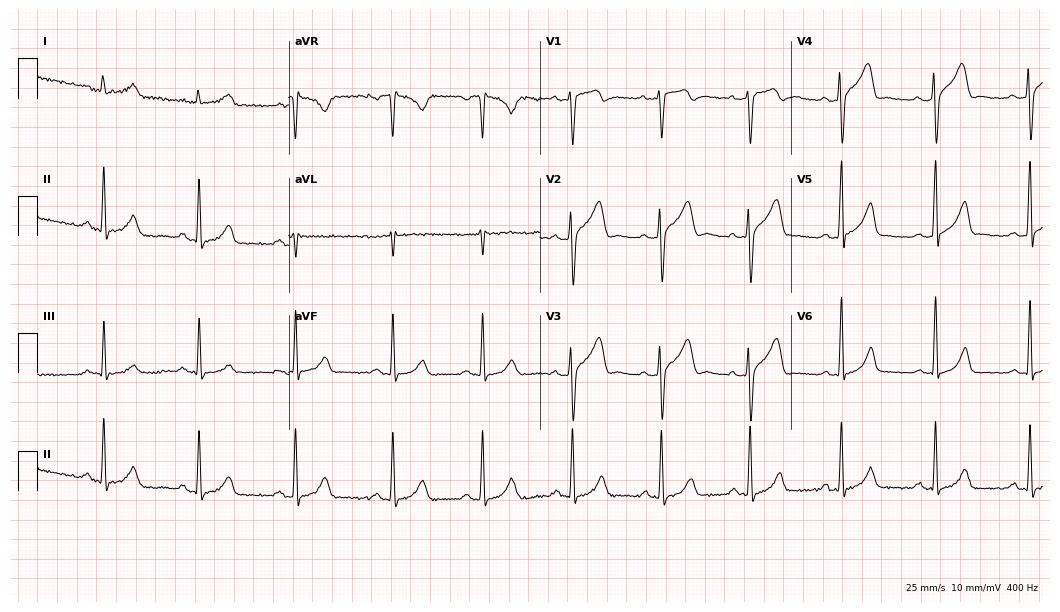
12-lead ECG from a 37-year-old male. Labelled as a normal ECG.